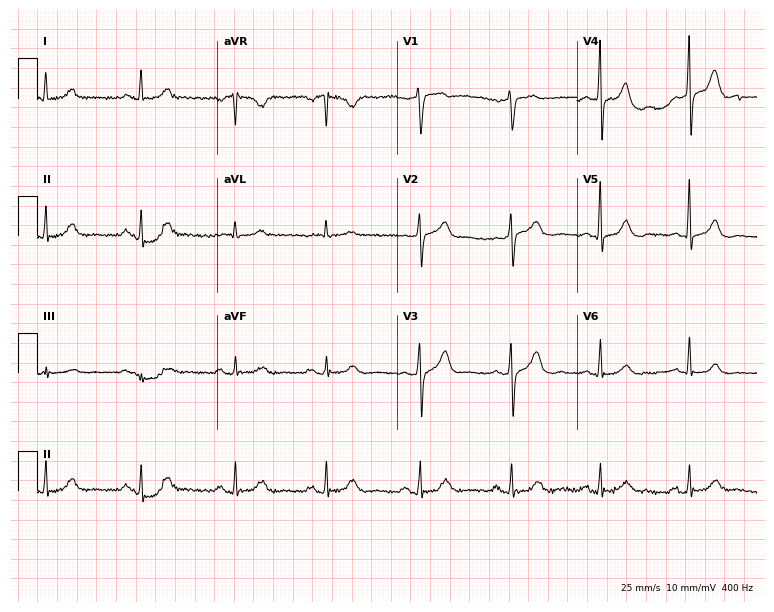
12-lead ECG from a female patient, 76 years old. Labelled as a normal ECG.